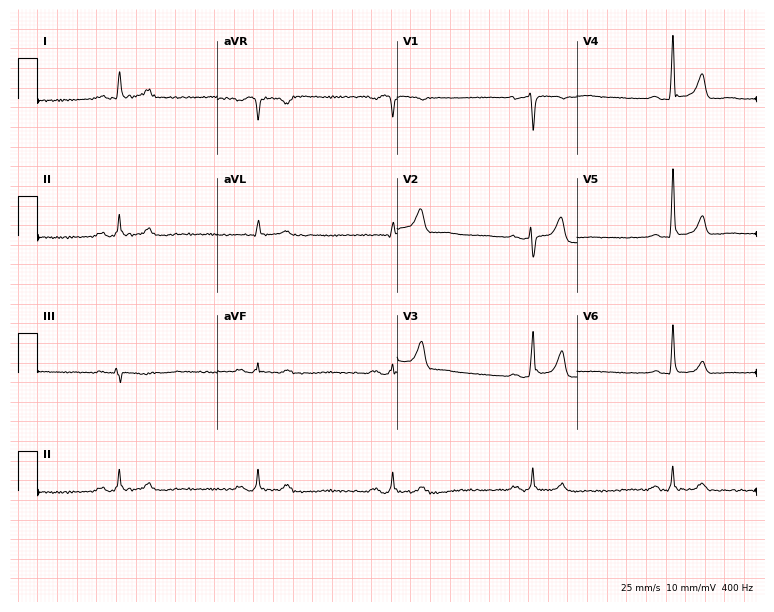
ECG (7.3-second recording at 400 Hz) — a man, 64 years old. Findings include sinus bradycardia (a sinus rate of 50 beats per minute or less).